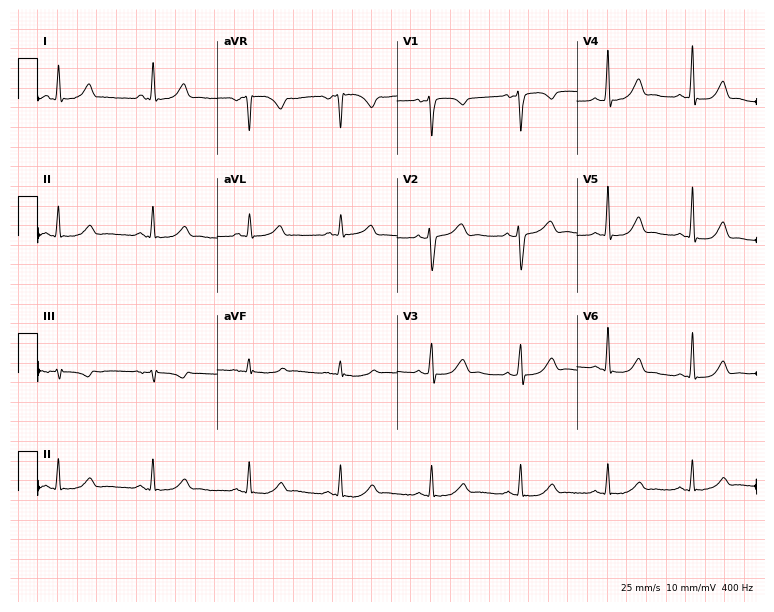
12-lead ECG from a 47-year-old female patient. No first-degree AV block, right bundle branch block, left bundle branch block, sinus bradycardia, atrial fibrillation or sinus tachycardia recorded for this tracing. Only these six findings were labelled.